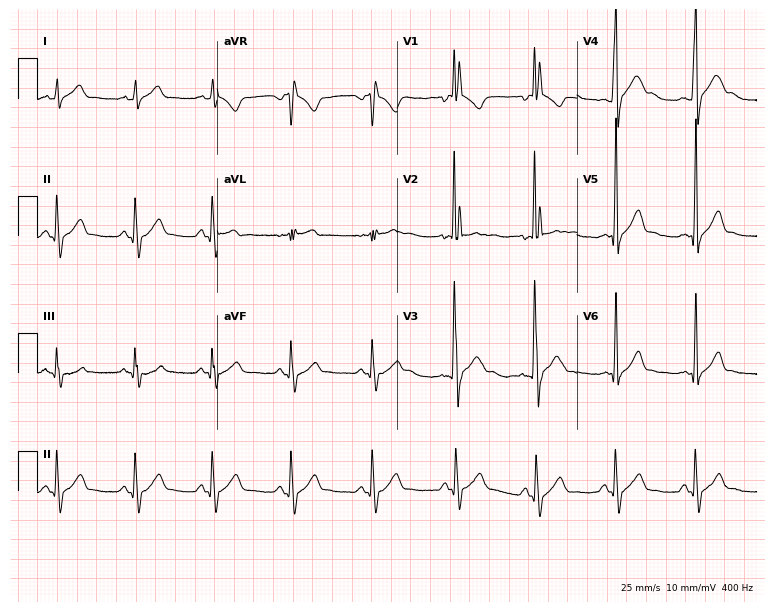
Standard 12-lead ECG recorded from a male patient, 17 years old (7.3-second recording at 400 Hz). None of these six findings is recorded: first-degree AV block, right bundle branch block (RBBB), left bundle branch block (LBBB), sinus bradycardia, atrial fibrillation (AF), sinus tachycardia. Other findings, if any, are not listed.